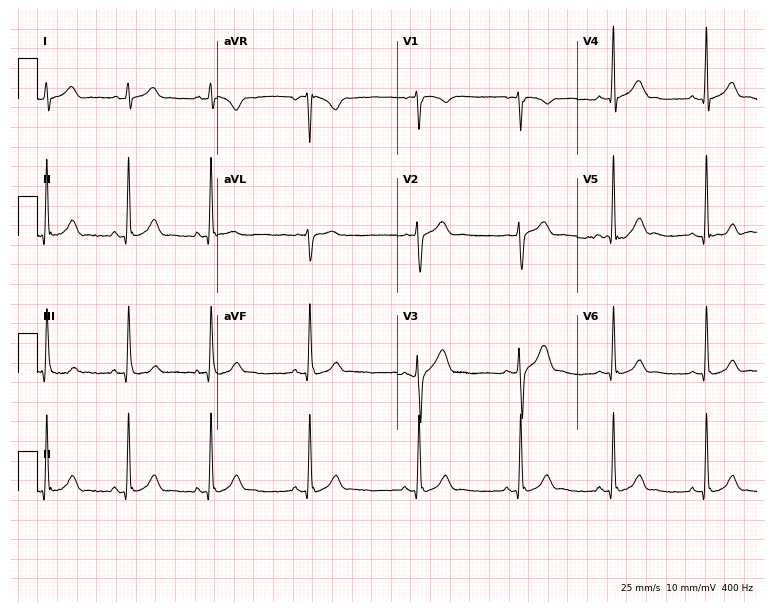
Electrocardiogram, a male patient, 26 years old. Overall reading on record: normal ECG.